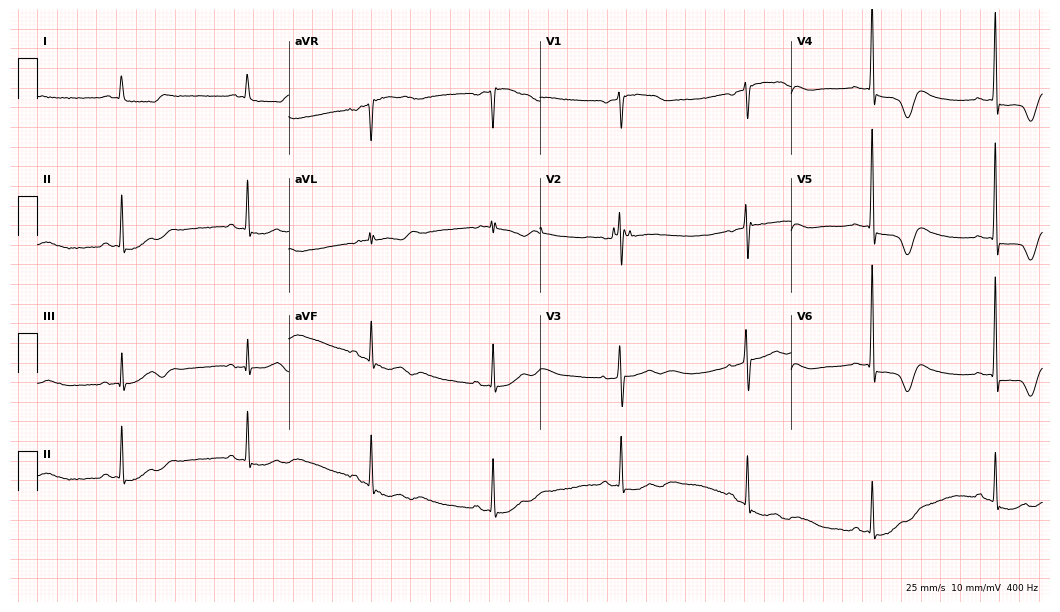
12-lead ECG from a 76-year-old female patient. Findings include sinus bradycardia (a sinus rate of 50 beats per minute or less).